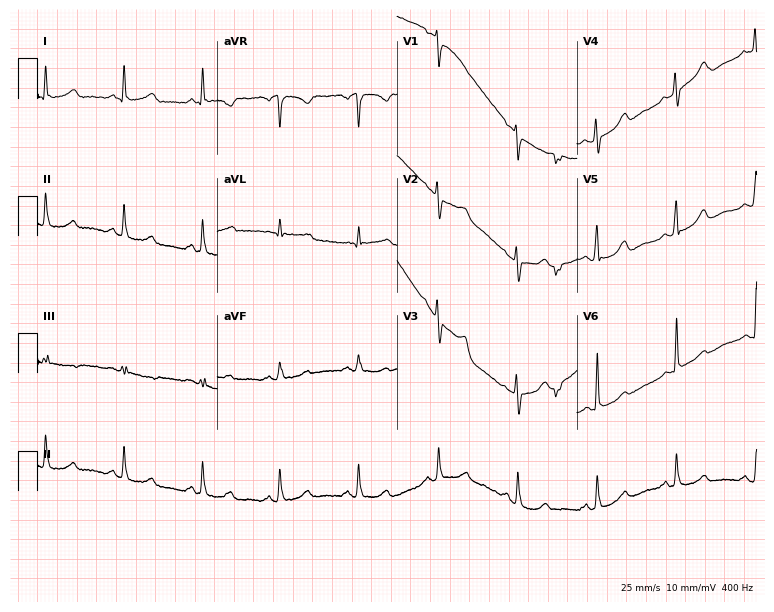
12-lead ECG from a woman, 59 years old. No first-degree AV block, right bundle branch block, left bundle branch block, sinus bradycardia, atrial fibrillation or sinus tachycardia recorded for this tracing. Other findings, if any, are not listed.